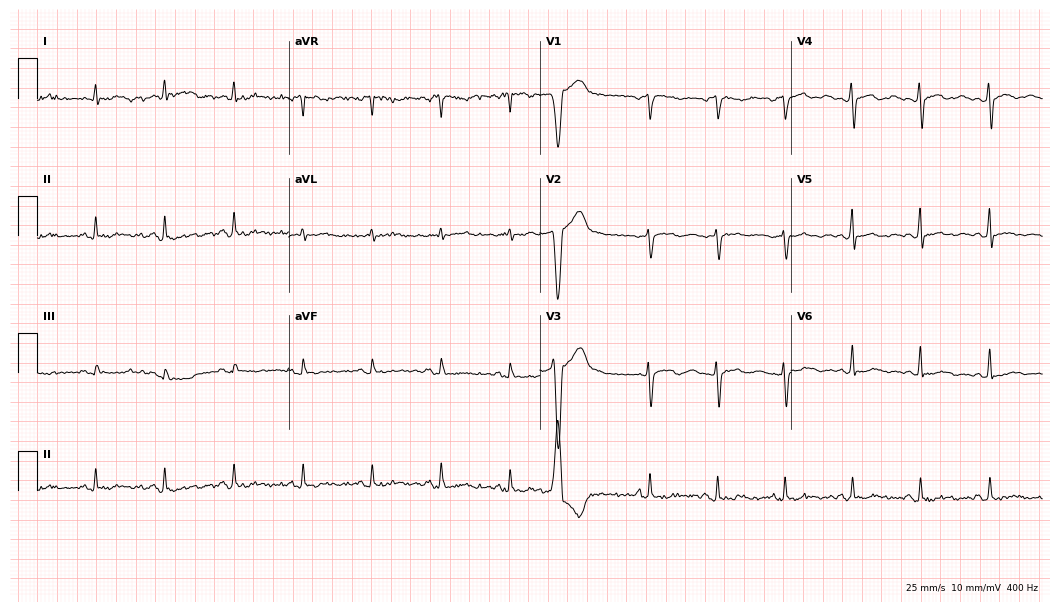
12-lead ECG from a woman, 50 years old. Recorded interpretation: within normal limits.